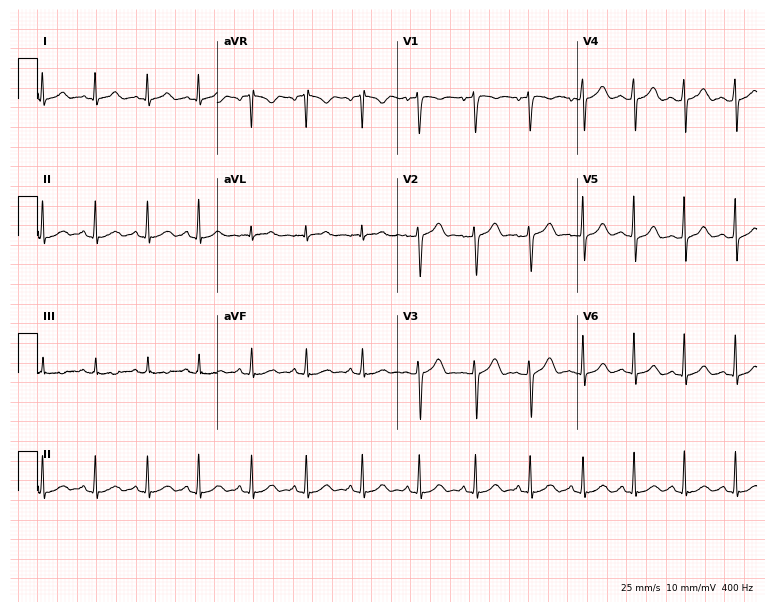
12-lead ECG (7.3-second recording at 400 Hz) from a 19-year-old female patient. Findings include sinus tachycardia (a sinus rate of 100 beats per minute or more).